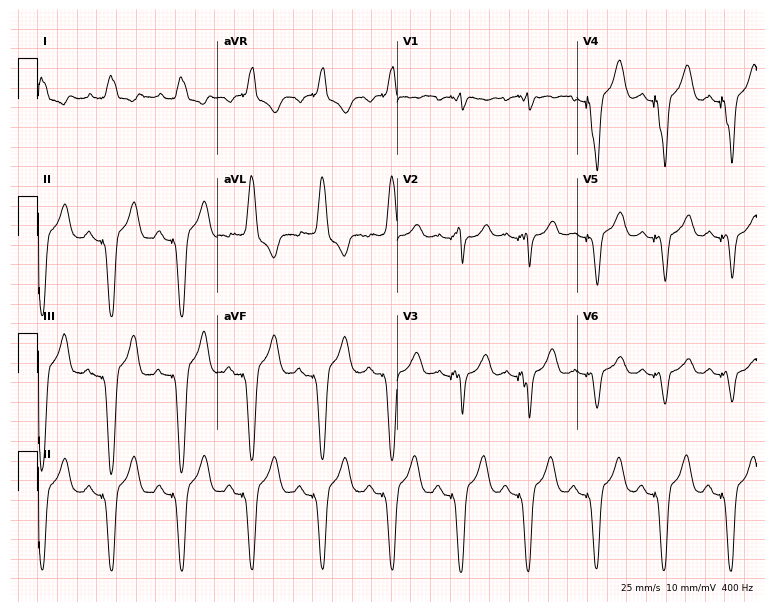
ECG — an 80-year-old woman. Screened for six findings — first-degree AV block, right bundle branch block (RBBB), left bundle branch block (LBBB), sinus bradycardia, atrial fibrillation (AF), sinus tachycardia — none is recorded.